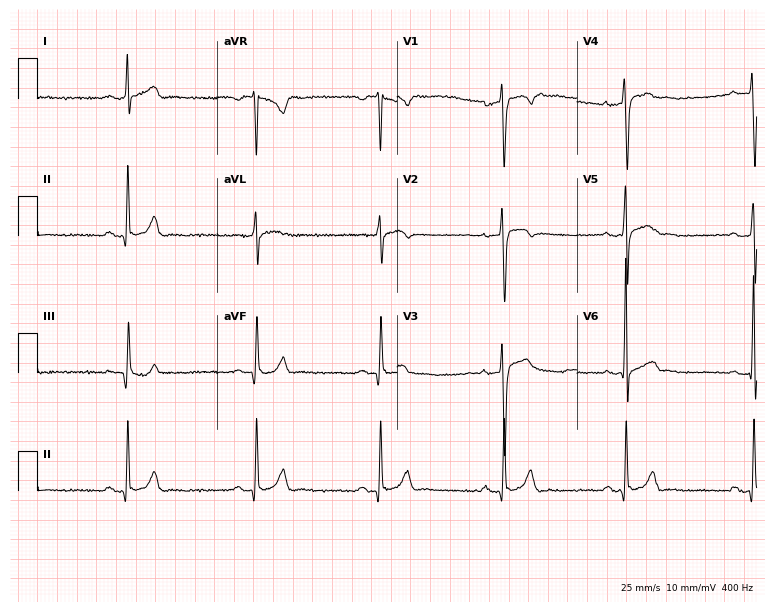
Standard 12-lead ECG recorded from a 32-year-old male patient (7.3-second recording at 400 Hz). The tracing shows sinus bradycardia (a sinus rate of 50 beats per minute or less).